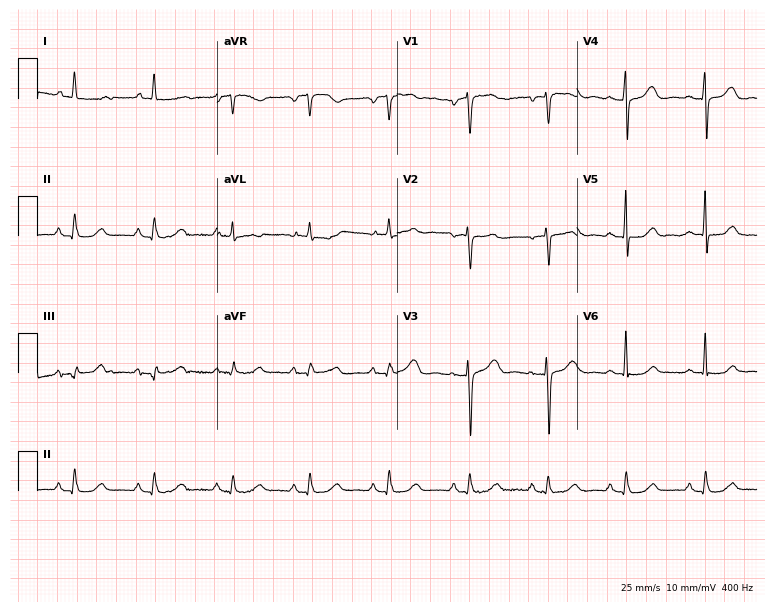
12-lead ECG from a 68-year-old woman (7.3-second recording at 400 Hz). No first-degree AV block, right bundle branch block, left bundle branch block, sinus bradycardia, atrial fibrillation or sinus tachycardia recorded for this tracing. Other findings, if any, are not listed.